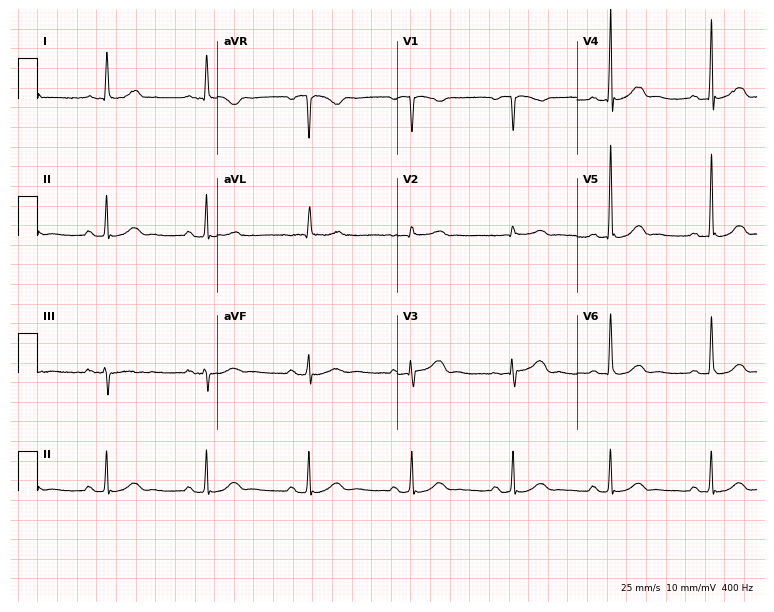
ECG — a 56-year-old woman. Labelled as a normal ECG.